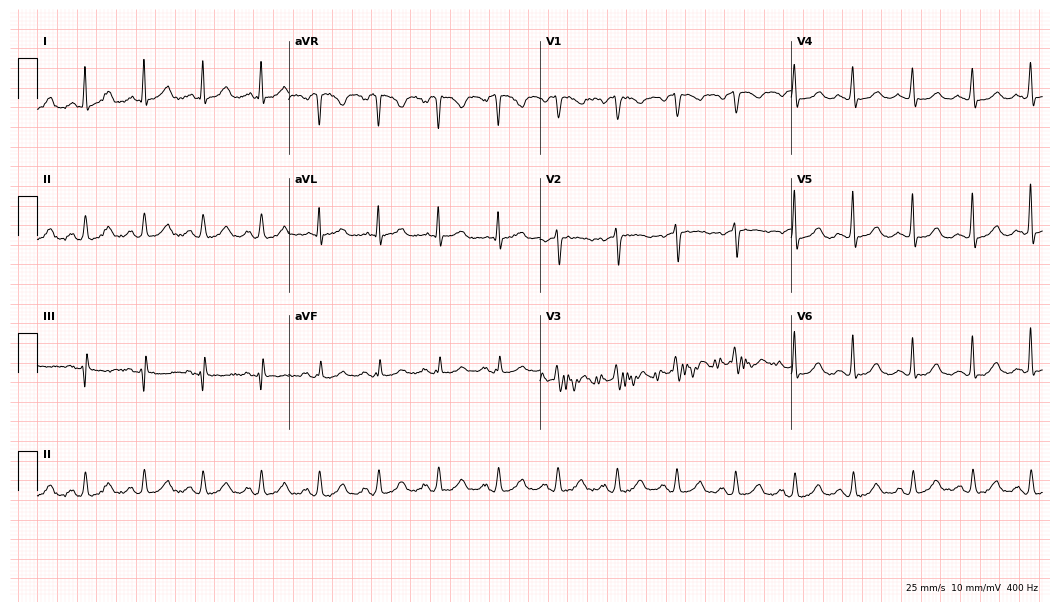
Resting 12-lead electrocardiogram (10.2-second recording at 400 Hz). Patient: a 56-year-old woman. None of these six findings is recorded: first-degree AV block, right bundle branch block (RBBB), left bundle branch block (LBBB), sinus bradycardia, atrial fibrillation (AF), sinus tachycardia.